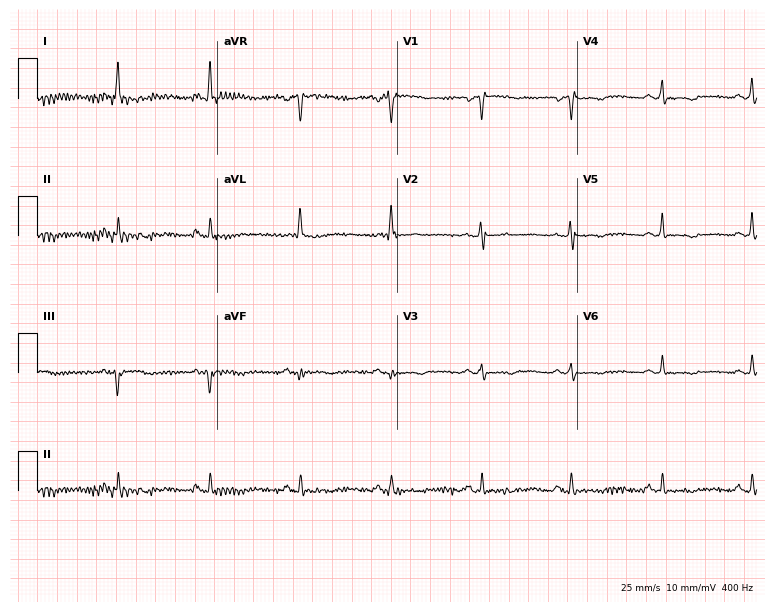
ECG (7.3-second recording at 400 Hz) — a 60-year-old female patient. Screened for six findings — first-degree AV block, right bundle branch block (RBBB), left bundle branch block (LBBB), sinus bradycardia, atrial fibrillation (AF), sinus tachycardia — none is recorded.